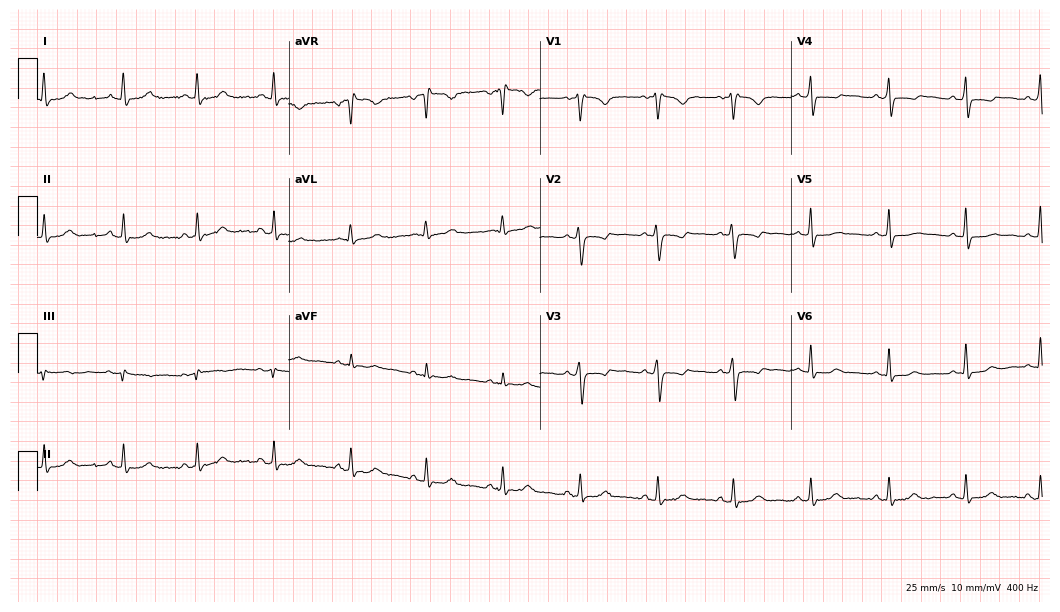
12-lead ECG from a woman, 26 years old. Screened for six findings — first-degree AV block, right bundle branch block, left bundle branch block, sinus bradycardia, atrial fibrillation, sinus tachycardia — none is recorded.